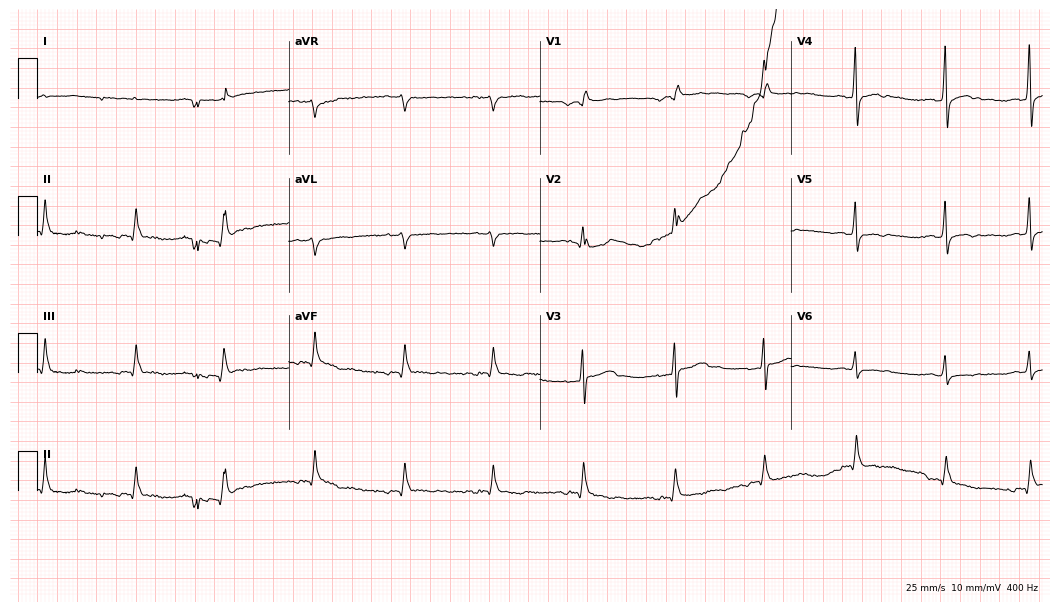
Standard 12-lead ECG recorded from a 68-year-old male (10.2-second recording at 400 Hz). None of these six findings is recorded: first-degree AV block, right bundle branch block, left bundle branch block, sinus bradycardia, atrial fibrillation, sinus tachycardia.